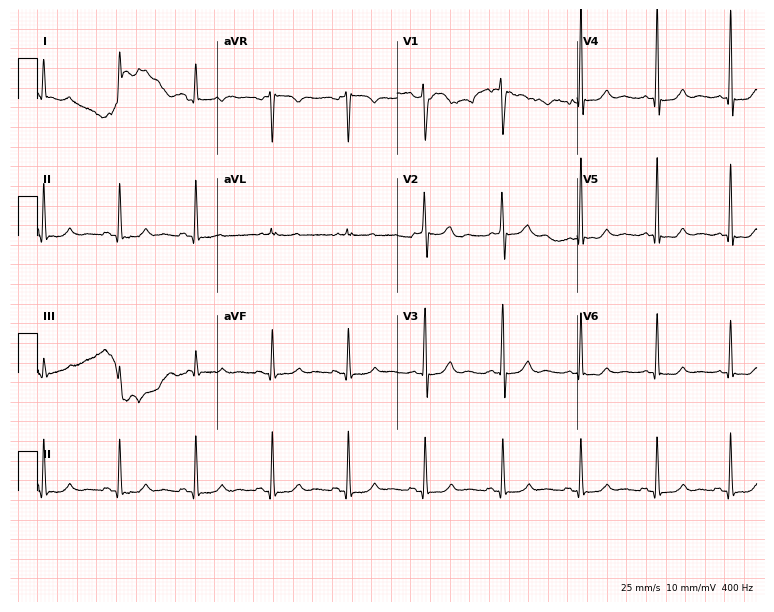
Standard 12-lead ECG recorded from a 47-year-old man. None of these six findings is recorded: first-degree AV block, right bundle branch block (RBBB), left bundle branch block (LBBB), sinus bradycardia, atrial fibrillation (AF), sinus tachycardia. Findings outside these six are not listed.